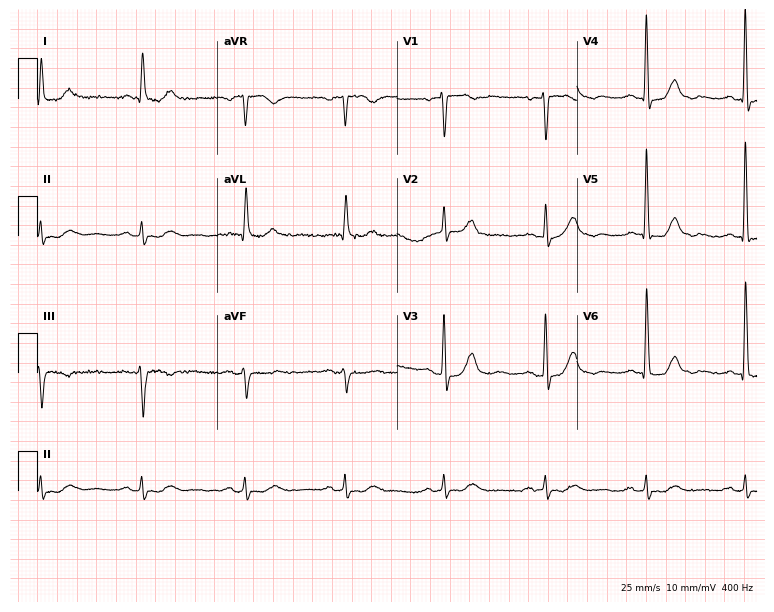
ECG (7.3-second recording at 400 Hz) — a 73-year-old male patient. Screened for six findings — first-degree AV block, right bundle branch block, left bundle branch block, sinus bradycardia, atrial fibrillation, sinus tachycardia — none is recorded. Other findings, if any, are not listed.